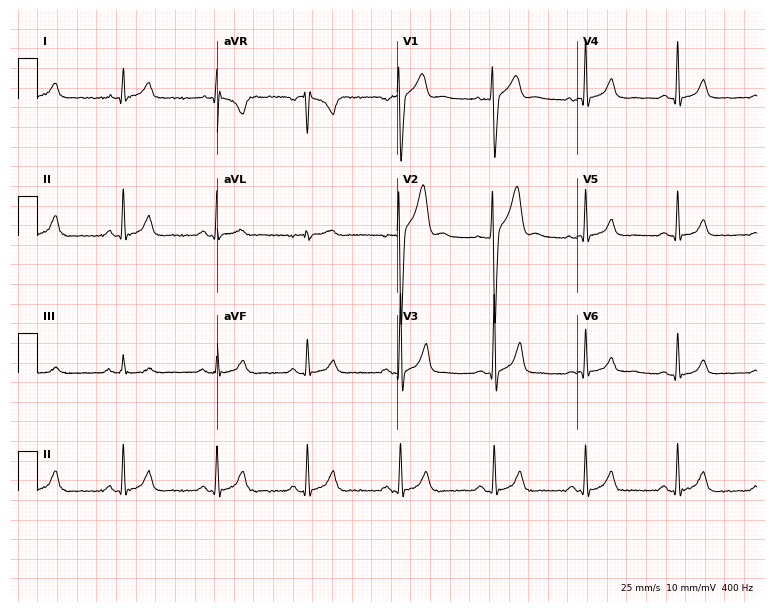
Resting 12-lead electrocardiogram. Patient: a 24-year-old male. Read as a normal ECG.